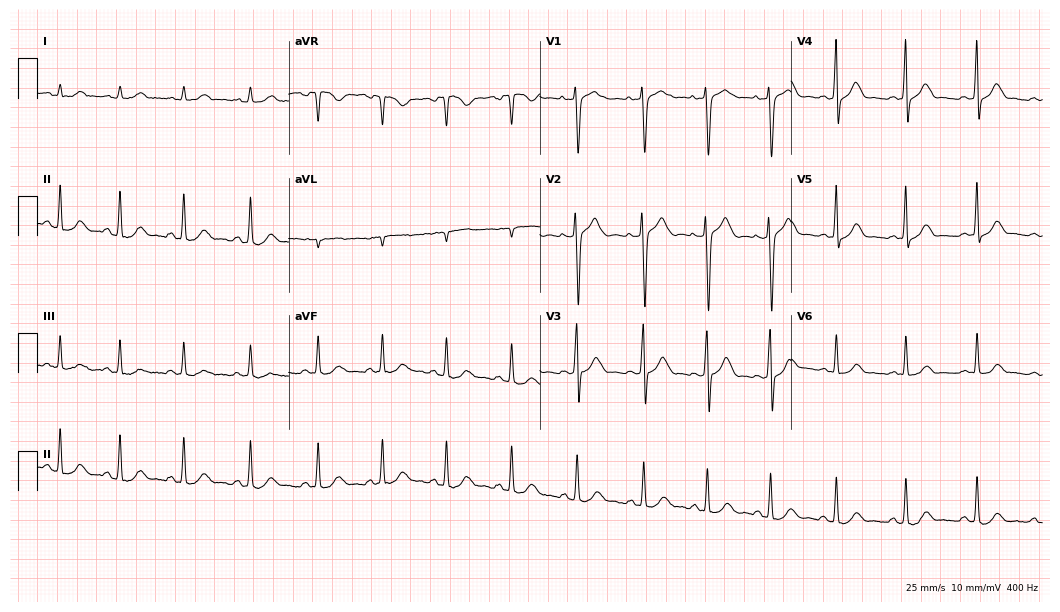
12-lead ECG from a 29-year-old female patient (10.2-second recording at 400 Hz). Recorded interpretation: within normal limits.